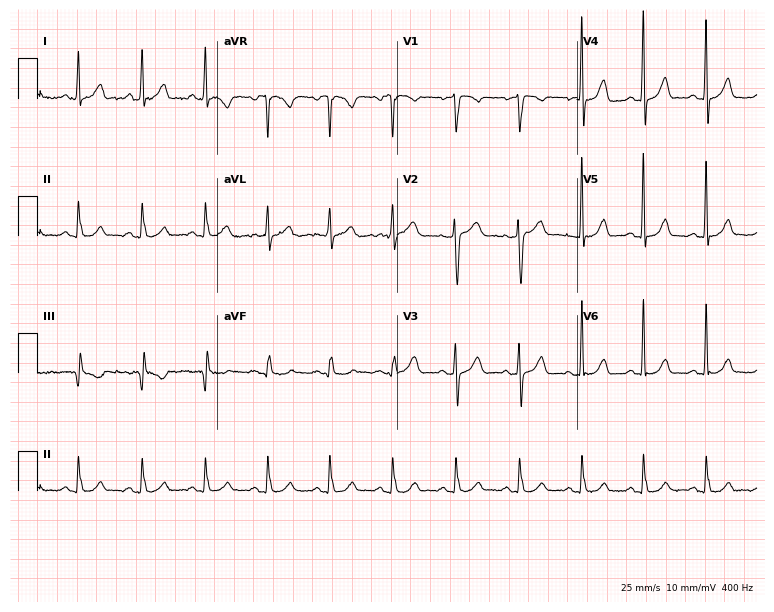
Standard 12-lead ECG recorded from a 48-year-old female. Read as a normal ECG.